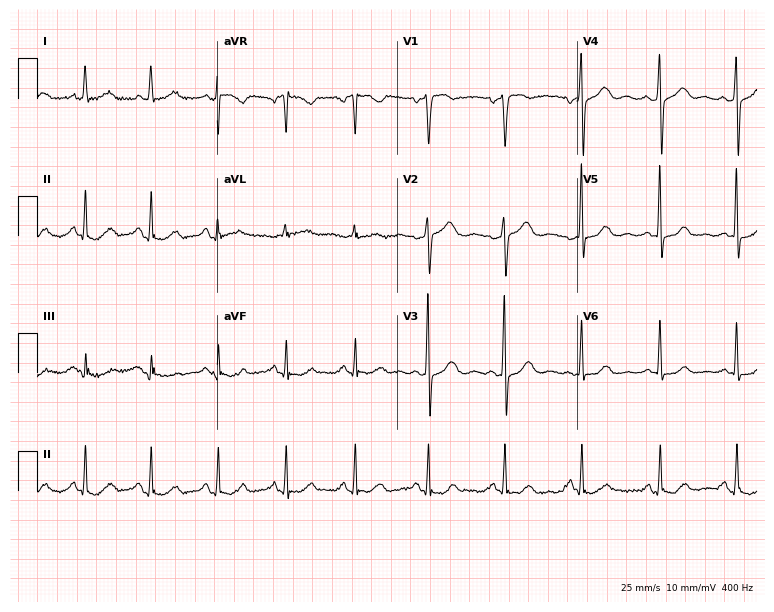
12-lead ECG (7.3-second recording at 400 Hz) from a female, 54 years old. Labelled as a normal ECG.